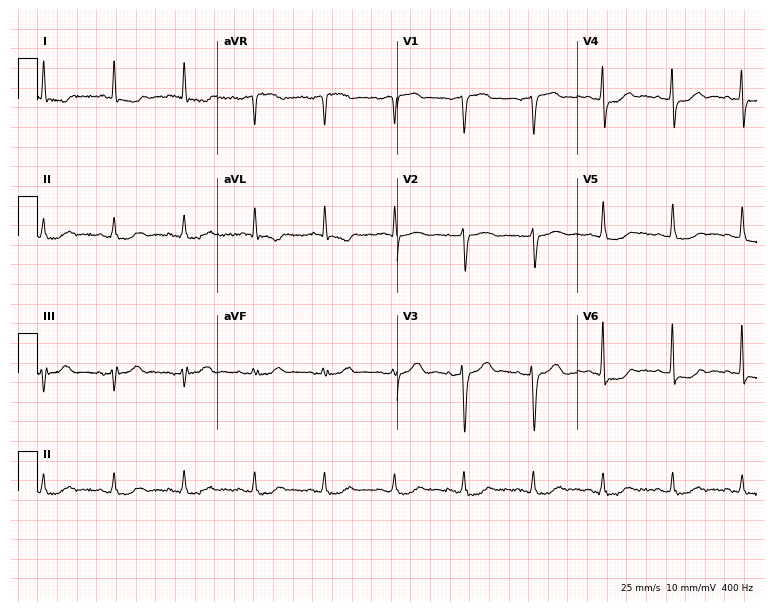
ECG (7.3-second recording at 400 Hz) — a 62-year-old man. Screened for six findings — first-degree AV block, right bundle branch block, left bundle branch block, sinus bradycardia, atrial fibrillation, sinus tachycardia — none is recorded. Findings outside these six are not listed.